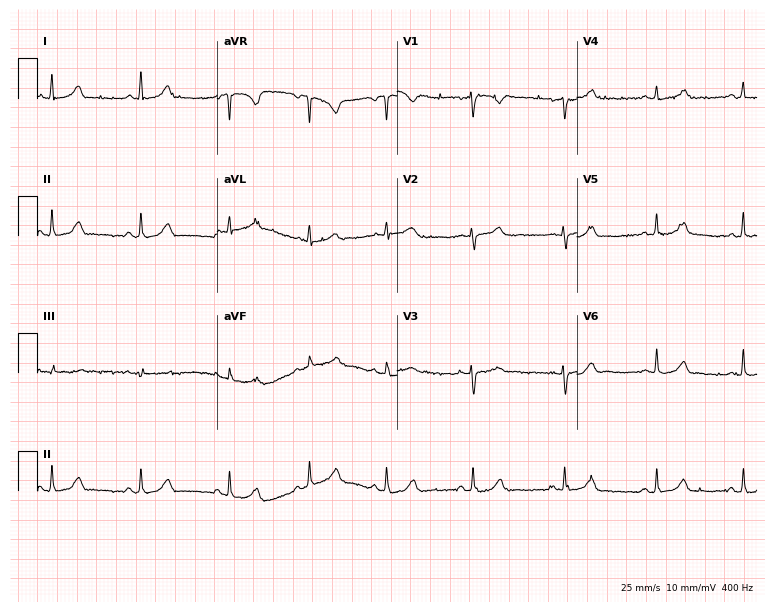
Resting 12-lead electrocardiogram (7.3-second recording at 400 Hz). Patient: a woman, 52 years old. None of these six findings is recorded: first-degree AV block, right bundle branch block, left bundle branch block, sinus bradycardia, atrial fibrillation, sinus tachycardia. Other findings, if any, are not listed.